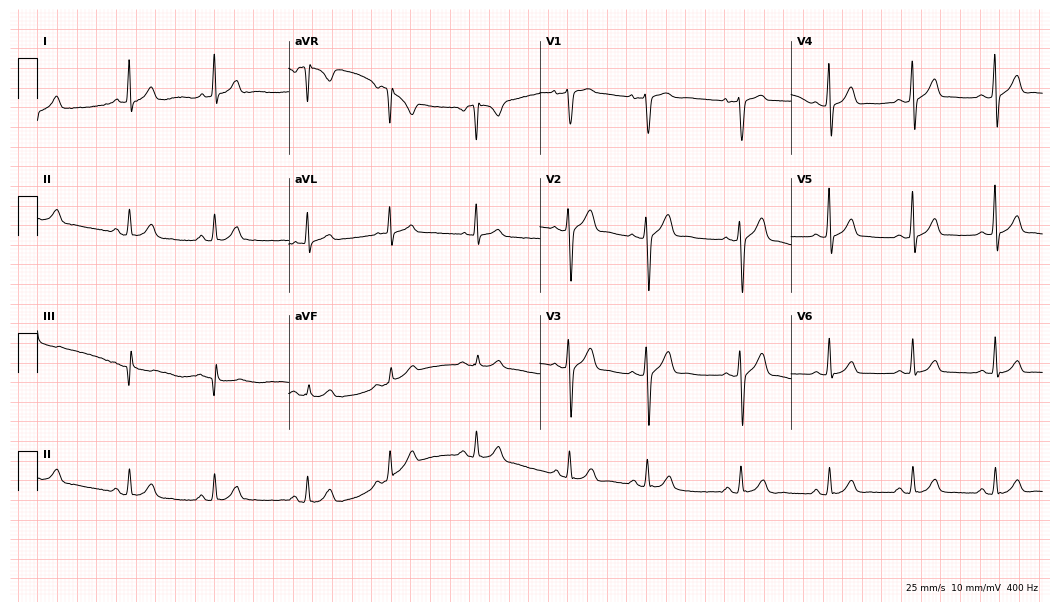
Resting 12-lead electrocardiogram (10.2-second recording at 400 Hz). Patient: a 22-year-old male. Read as a normal ECG.